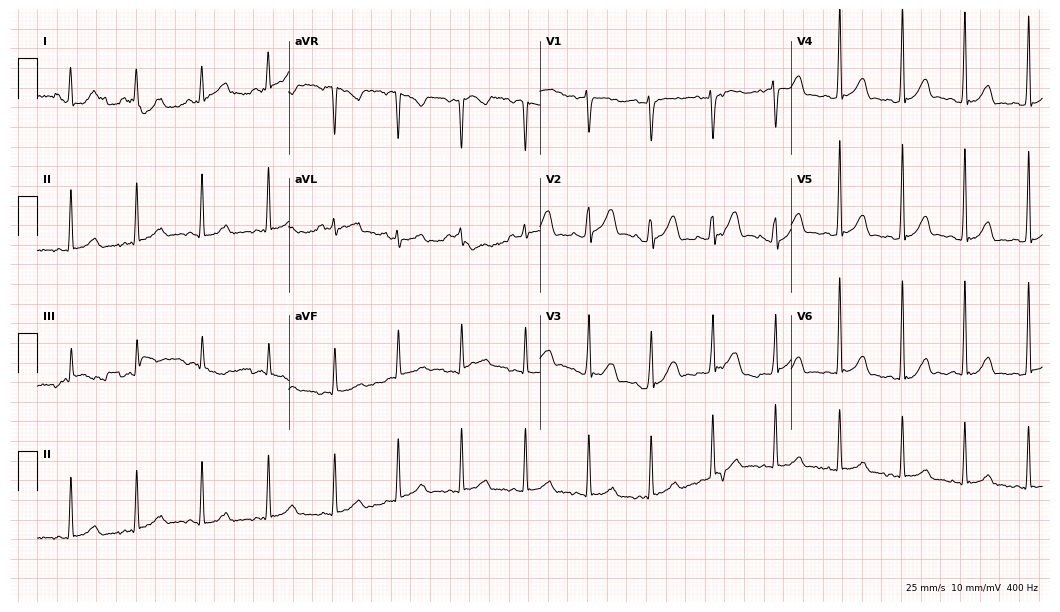
ECG — a female, 28 years old. Labelled as a normal ECG.